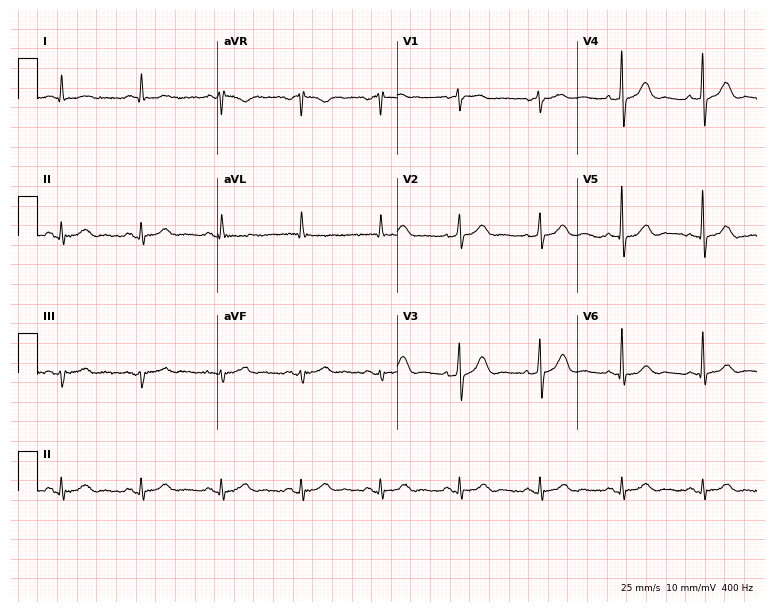
Standard 12-lead ECG recorded from an 81-year-old male patient (7.3-second recording at 400 Hz). None of these six findings is recorded: first-degree AV block, right bundle branch block (RBBB), left bundle branch block (LBBB), sinus bradycardia, atrial fibrillation (AF), sinus tachycardia.